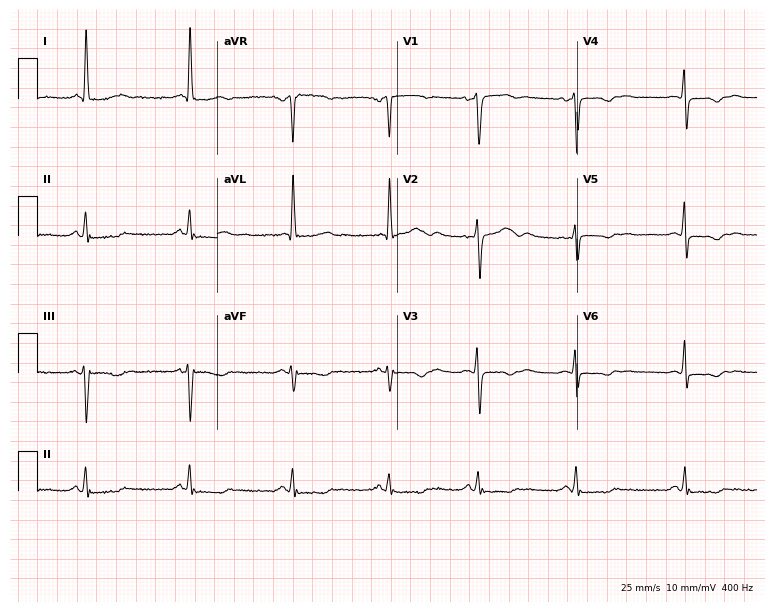
Standard 12-lead ECG recorded from a 52-year-old woman. None of these six findings is recorded: first-degree AV block, right bundle branch block (RBBB), left bundle branch block (LBBB), sinus bradycardia, atrial fibrillation (AF), sinus tachycardia.